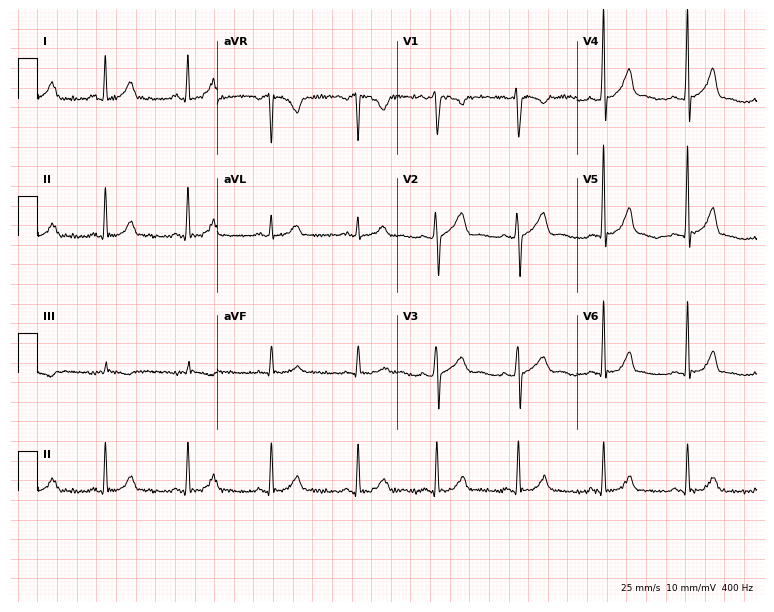
12-lead ECG from a 31-year-old female. Recorded interpretation: within normal limits.